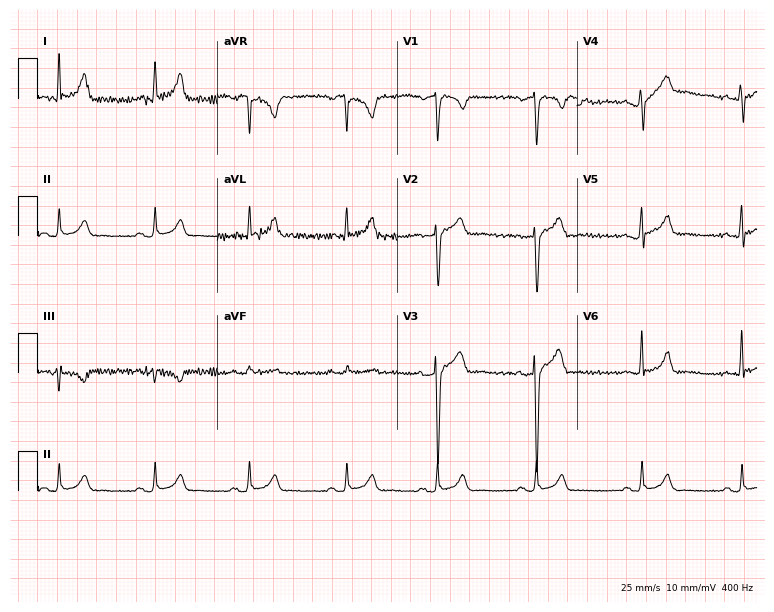
Electrocardiogram (7.3-second recording at 400 Hz), a 42-year-old male. Overall reading on record: normal ECG.